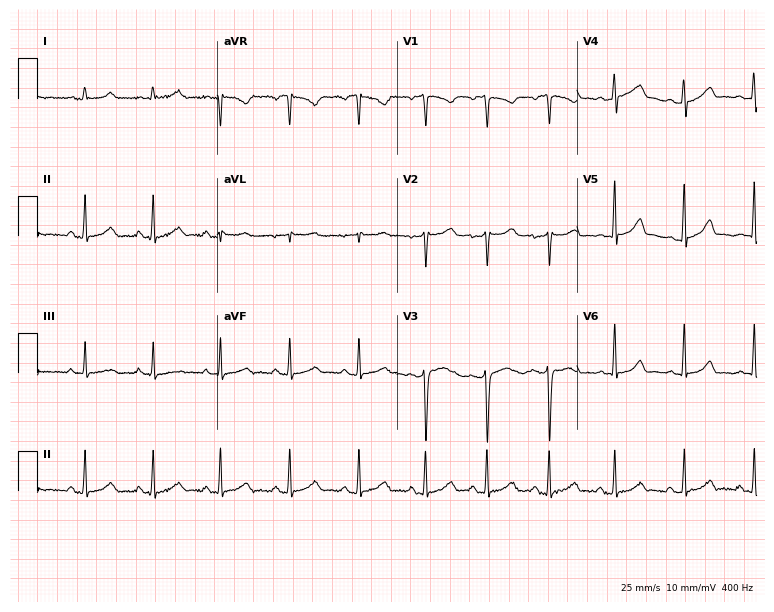
Electrocardiogram (7.3-second recording at 400 Hz), a 28-year-old female patient. Overall reading on record: normal ECG.